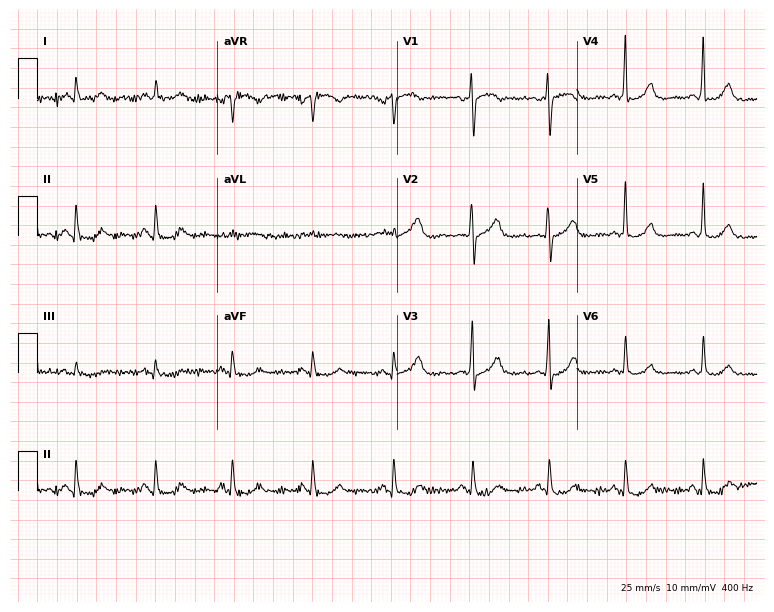
12-lead ECG from a female patient, 75 years old. Recorded interpretation: within normal limits.